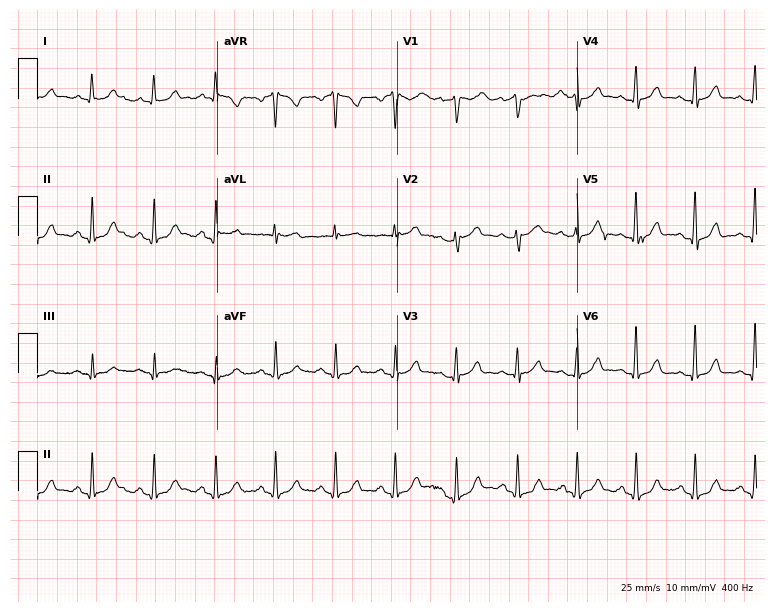
Electrocardiogram (7.3-second recording at 400 Hz), a woman, 56 years old. Overall reading on record: normal ECG.